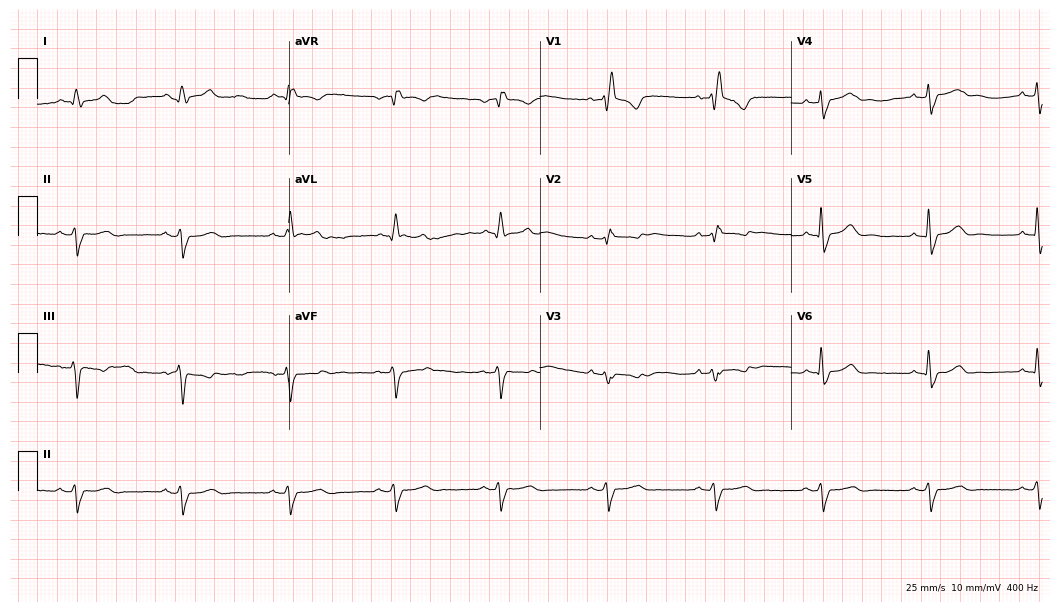
12-lead ECG from a man, 73 years old. Findings include right bundle branch block (RBBB).